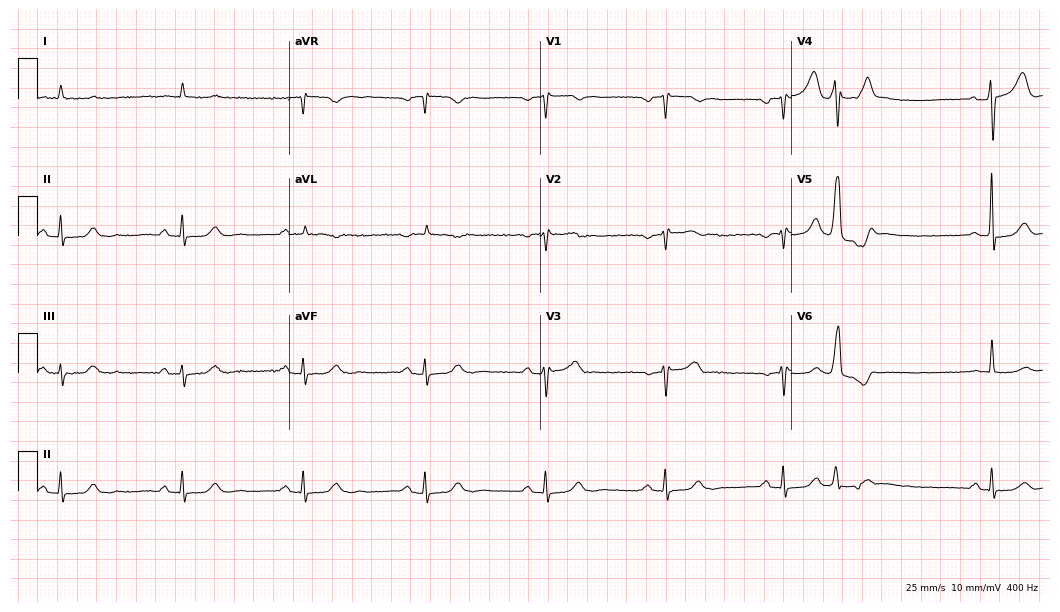
ECG (10.2-second recording at 400 Hz) — a male patient, 84 years old. Screened for six findings — first-degree AV block, right bundle branch block, left bundle branch block, sinus bradycardia, atrial fibrillation, sinus tachycardia — none is recorded. Findings outside these six are not listed.